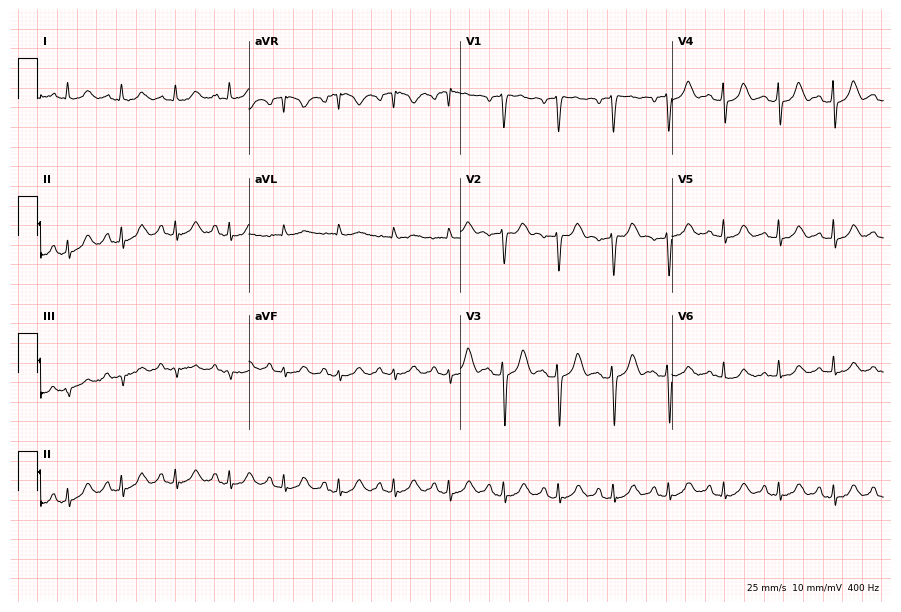
12-lead ECG from a female, 56 years old. Shows sinus tachycardia (a sinus rate of 100 beats per minute or more).